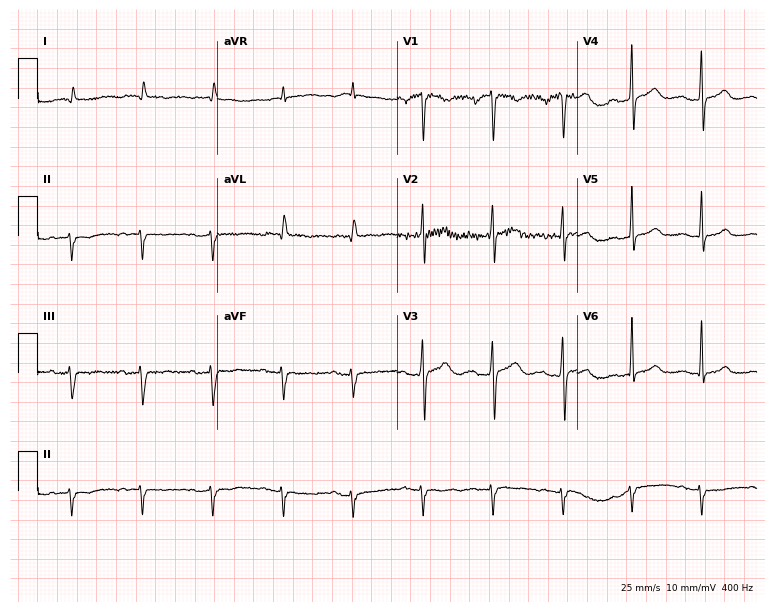
Resting 12-lead electrocardiogram. Patient: a 71-year-old female. None of these six findings is recorded: first-degree AV block, right bundle branch block (RBBB), left bundle branch block (LBBB), sinus bradycardia, atrial fibrillation (AF), sinus tachycardia.